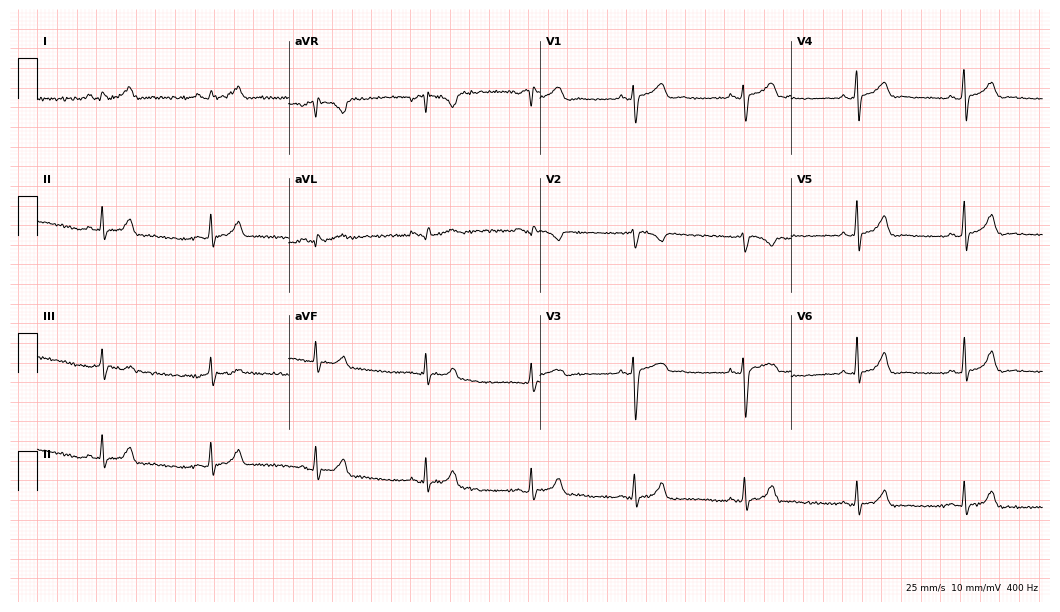
Resting 12-lead electrocardiogram (10.2-second recording at 400 Hz). Patient: a female, 18 years old. Read as a normal ECG.